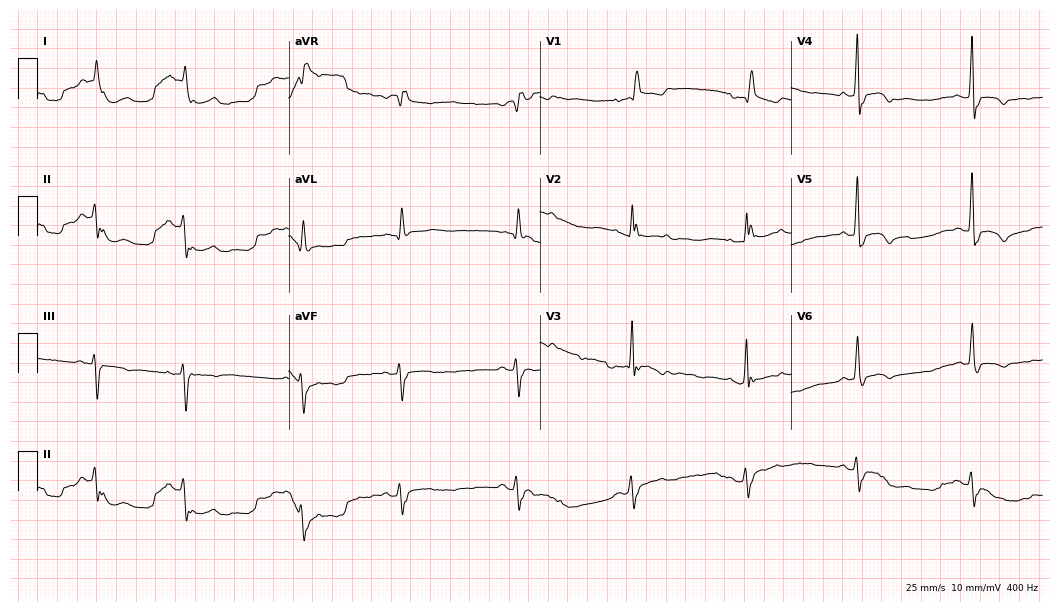
12-lead ECG (10.2-second recording at 400 Hz) from a 73-year-old male. Findings include right bundle branch block.